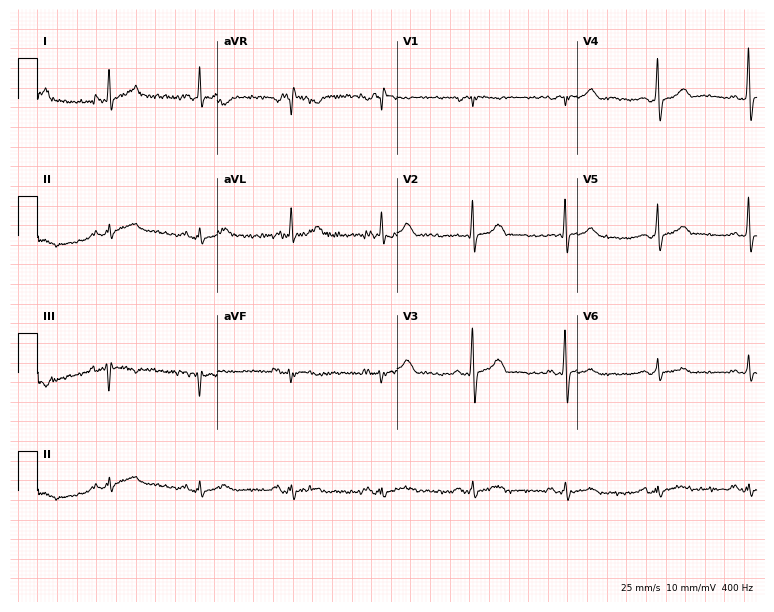
Electrocardiogram (7.3-second recording at 400 Hz), a 70-year-old male patient. Of the six screened findings (first-degree AV block, right bundle branch block, left bundle branch block, sinus bradycardia, atrial fibrillation, sinus tachycardia), none is recorded.